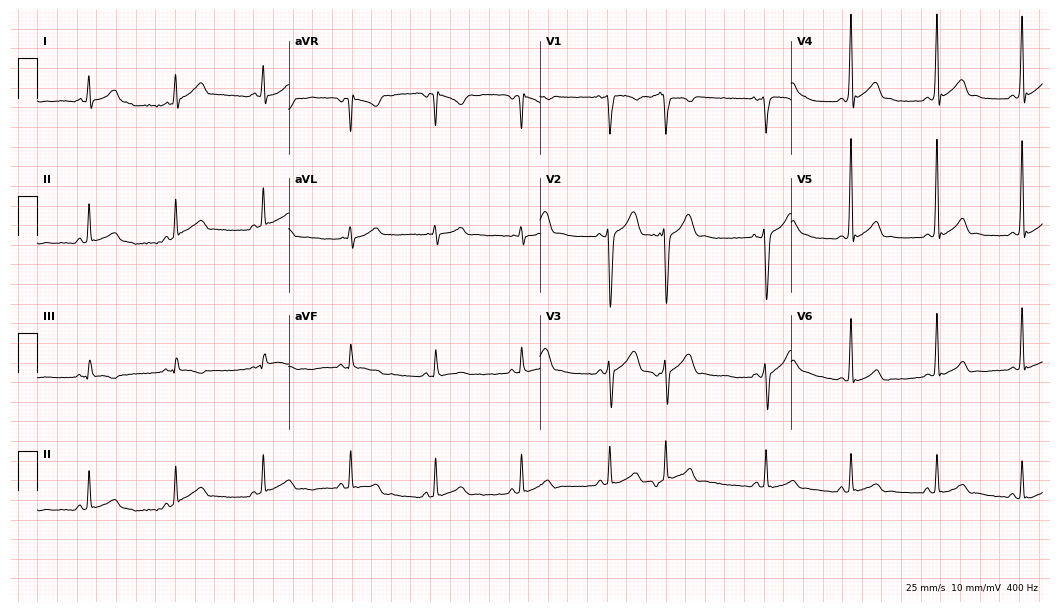
12-lead ECG from a man, 30 years old (10.2-second recording at 400 Hz). Recorded interpretation: within normal limits.